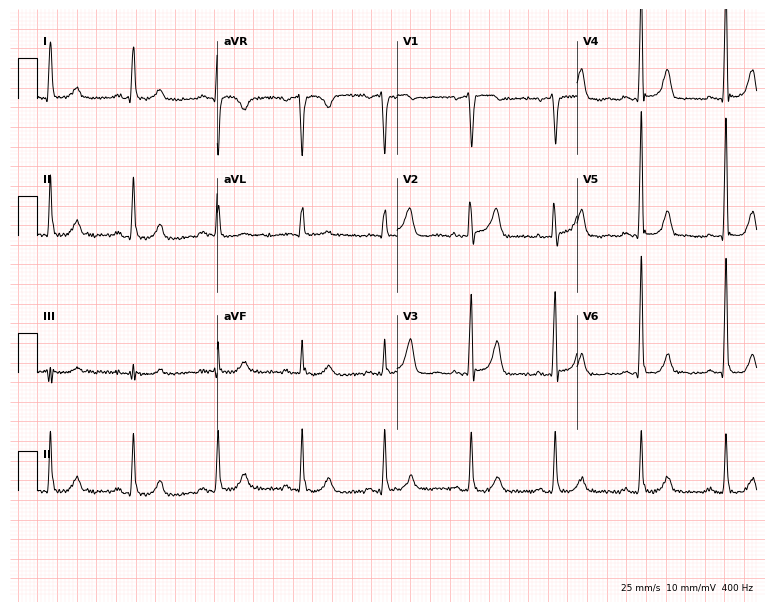
12-lead ECG from a 65-year-old woman. No first-degree AV block, right bundle branch block (RBBB), left bundle branch block (LBBB), sinus bradycardia, atrial fibrillation (AF) or sinus tachycardia recorded for this tracing.